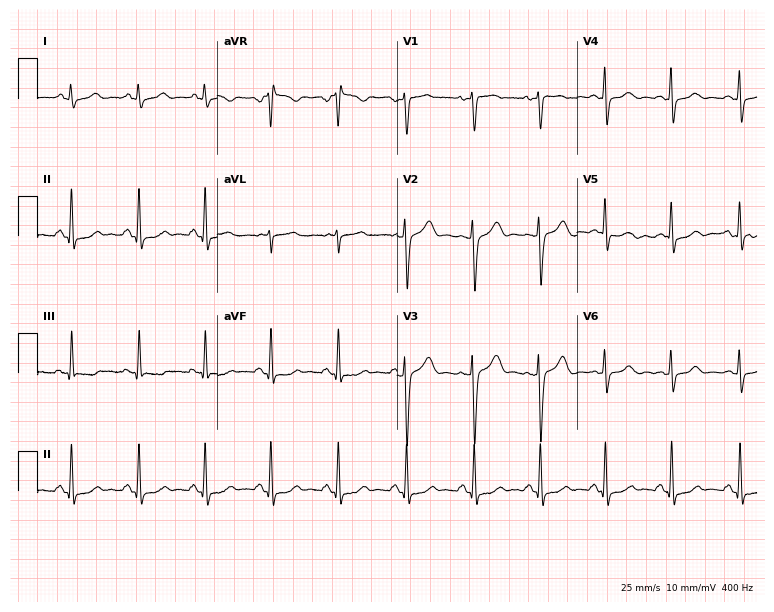
Electrocardiogram (7.3-second recording at 400 Hz), a woman, 37 years old. Overall reading on record: normal ECG.